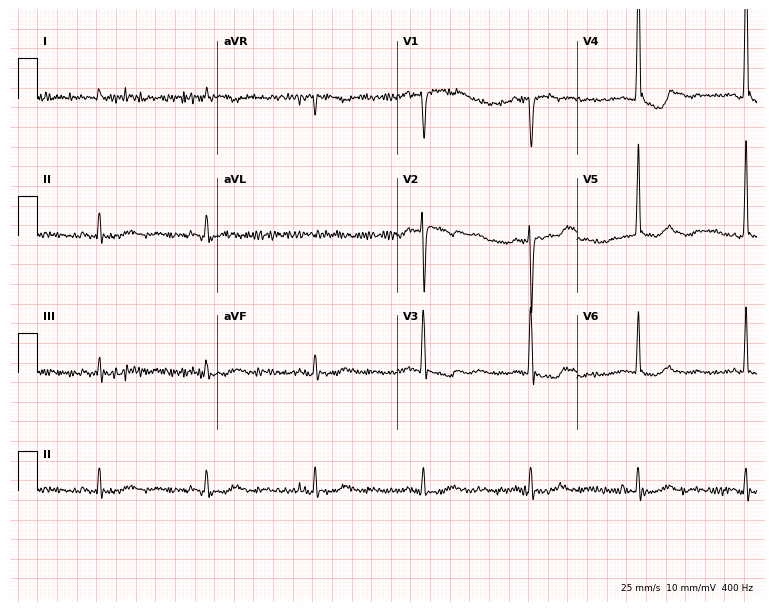
12-lead ECG from a 72-year-old male patient (7.3-second recording at 400 Hz). No first-degree AV block, right bundle branch block (RBBB), left bundle branch block (LBBB), sinus bradycardia, atrial fibrillation (AF) or sinus tachycardia recorded for this tracing. Findings outside these six are not listed.